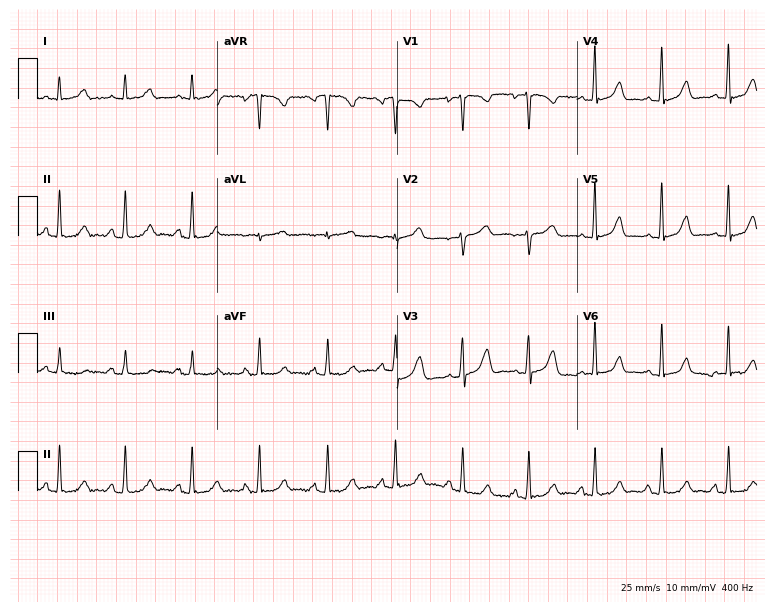
12-lead ECG from a 30-year-old female. Recorded interpretation: within normal limits.